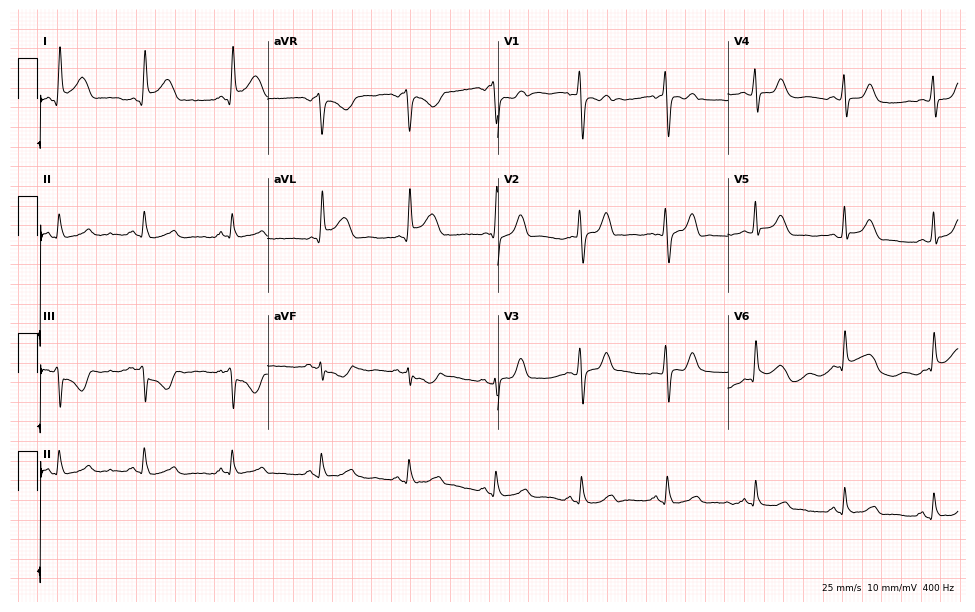
Electrocardiogram (9.4-second recording at 400 Hz), a 53-year-old female patient. Of the six screened findings (first-degree AV block, right bundle branch block, left bundle branch block, sinus bradycardia, atrial fibrillation, sinus tachycardia), none is recorded. Findings outside these six are not listed.